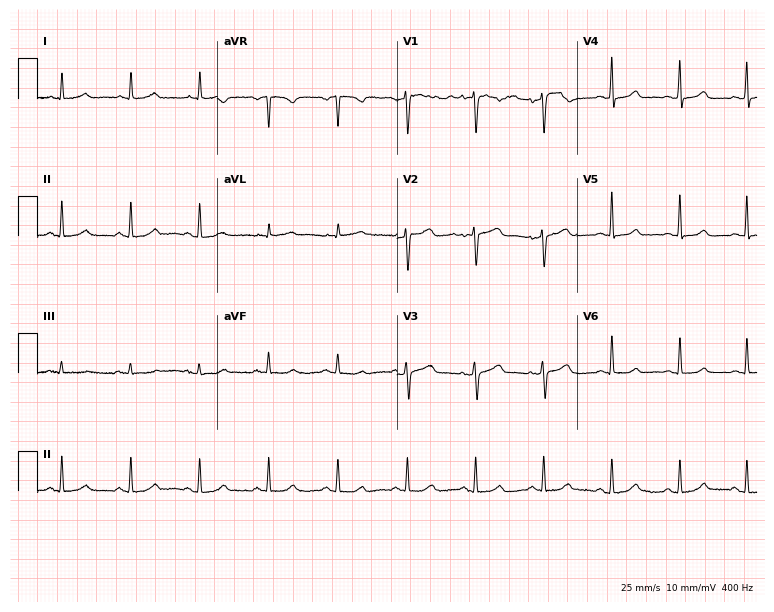
12-lead ECG from a female, 71 years old. Labelled as a normal ECG.